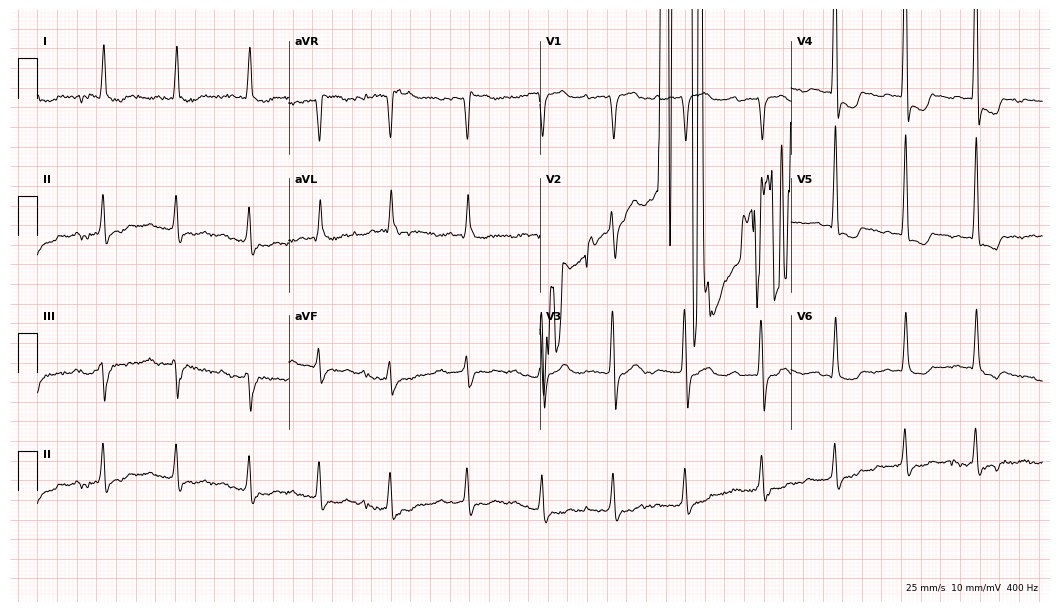
Standard 12-lead ECG recorded from a 78-year-old female patient. None of these six findings is recorded: first-degree AV block, right bundle branch block (RBBB), left bundle branch block (LBBB), sinus bradycardia, atrial fibrillation (AF), sinus tachycardia. Findings outside these six are not listed.